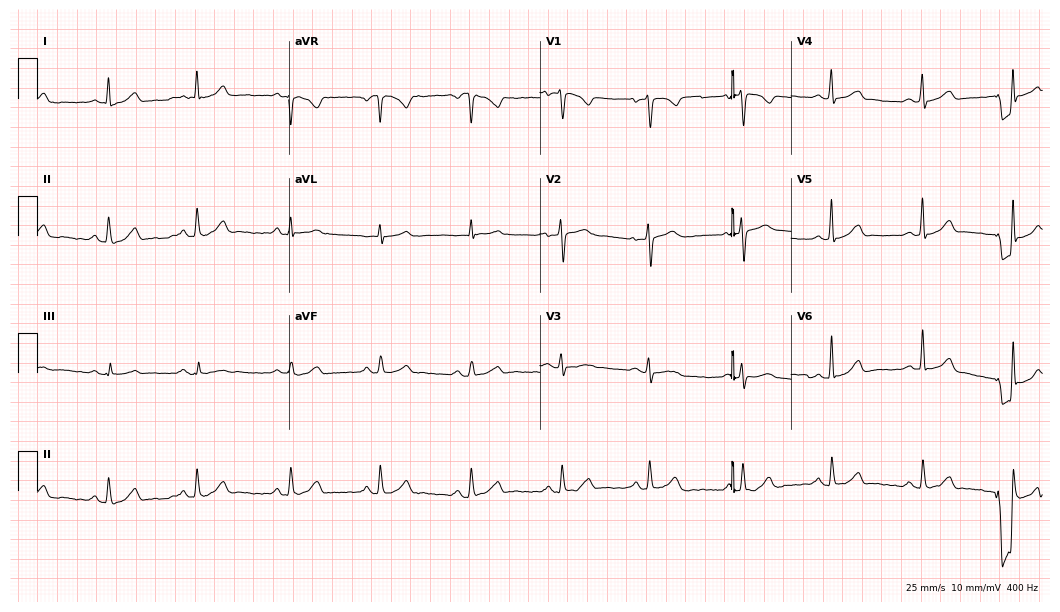
Electrocardiogram (10.2-second recording at 400 Hz), a woman, 33 years old. Overall reading on record: normal ECG.